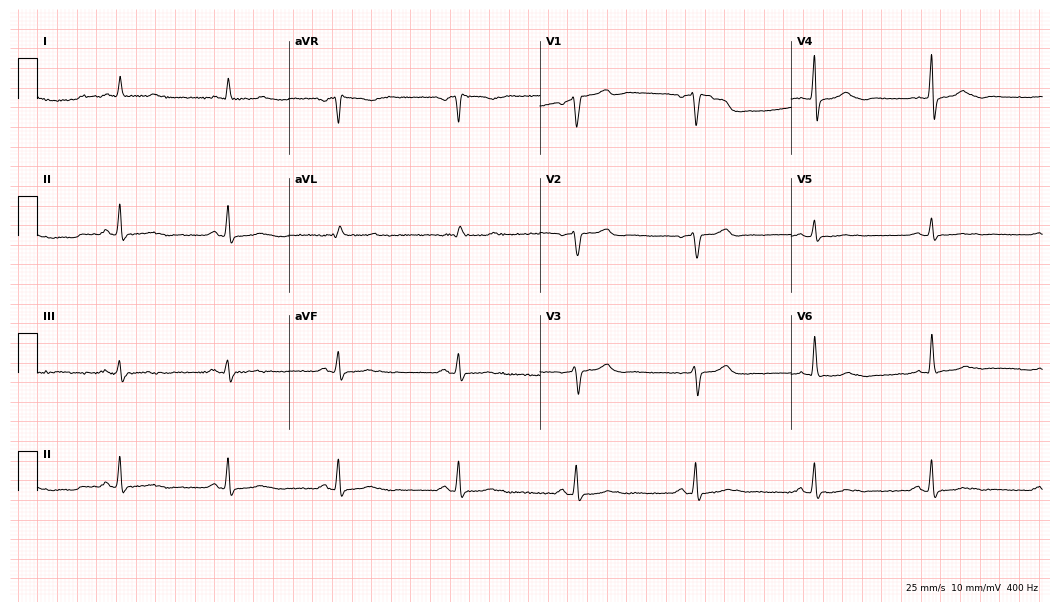
12-lead ECG from a male patient, 70 years old. Screened for six findings — first-degree AV block, right bundle branch block, left bundle branch block, sinus bradycardia, atrial fibrillation, sinus tachycardia — none is recorded.